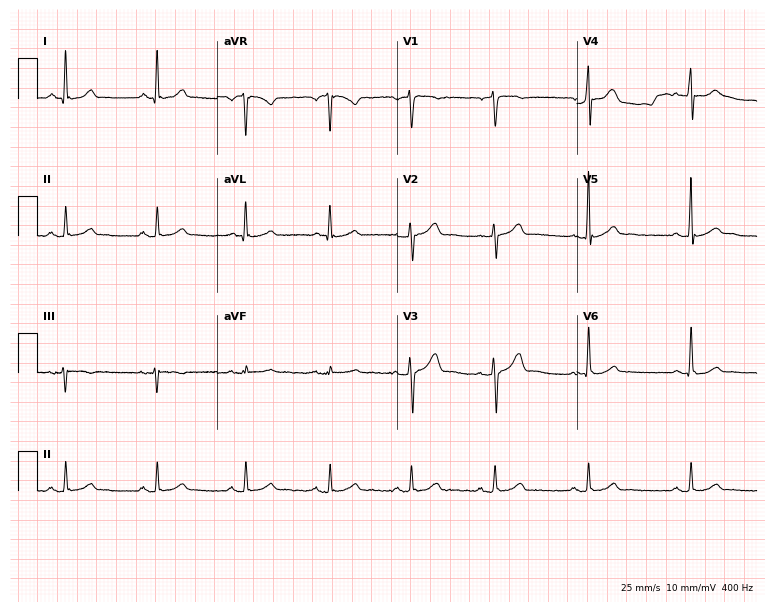
Resting 12-lead electrocardiogram (7.3-second recording at 400 Hz). Patient: a 32-year-old male. Read as a normal ECG.